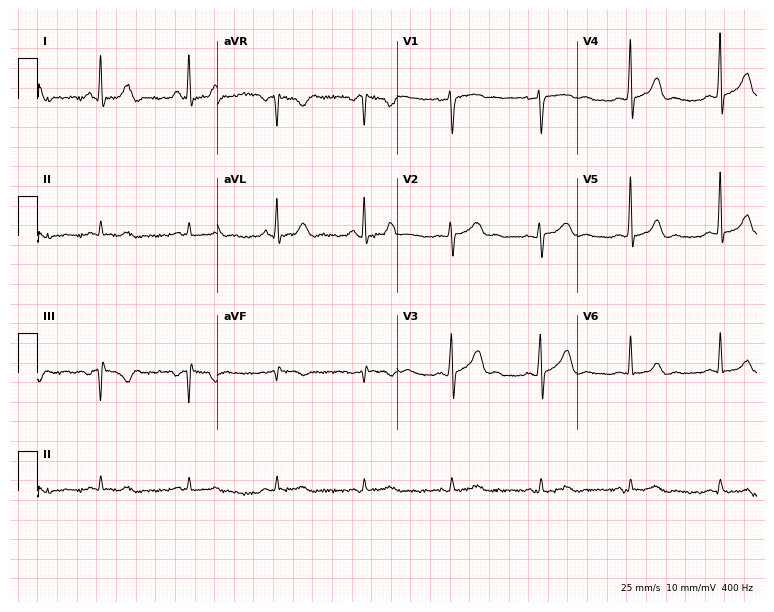
12-lead ECG from a 60-year-old man. Screened for six findings — first-degree AV block, right bundle branch block, left bundle branch block, sinus bradycardia, atrial fibrillation, sinus tachycardia — none is recorded.